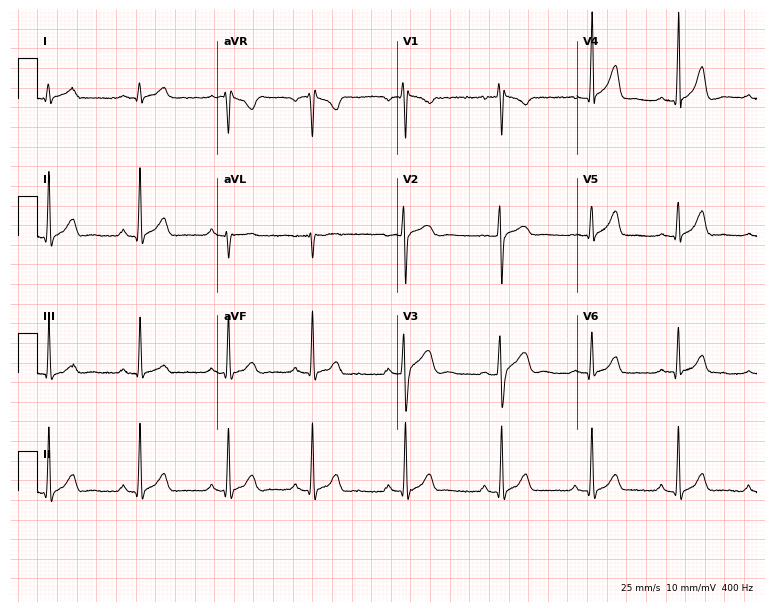
12-lead ECG (7.3-second recording at 400 Hz) from a 25-year-old male. Screened for six findings — first-degree AV block, right bundle branch block, left bundle branch block, sinus bradycardia, atrial fibrillation, sinus tachycardia — none is recorded.